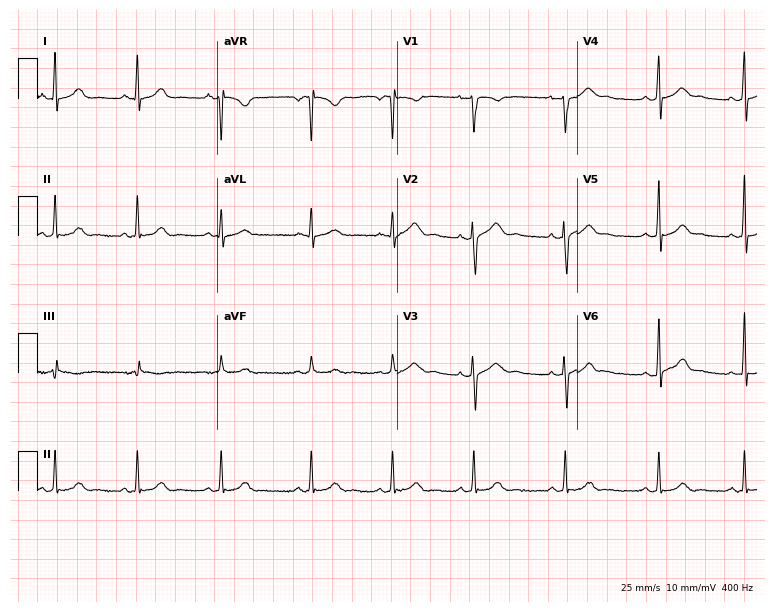
Standard 12-lead ECG recorded from a 23-year-old woman. None of these six findings is recorded: first-degree AV block, right bundle branch block (RBBB), left bundle branch block (LBBB), sinus bradycardia, atrial fibrillation (AF), sinus tachycardia. Findings outside these six are not listed.